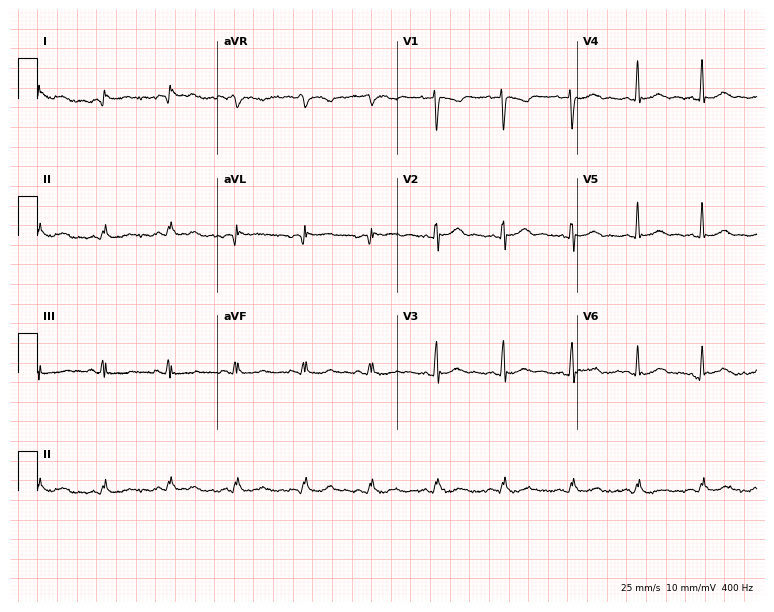
ECG — a 30-year-old female. Screened for six findings — first-degree AV block, right bundle branch block (RBBB), left bundle branch block (LBBB), sinus bradycardia, atrial fibrillation (AF), sinus tachycardia — none is recorded. Other findings, if any, are not listed.